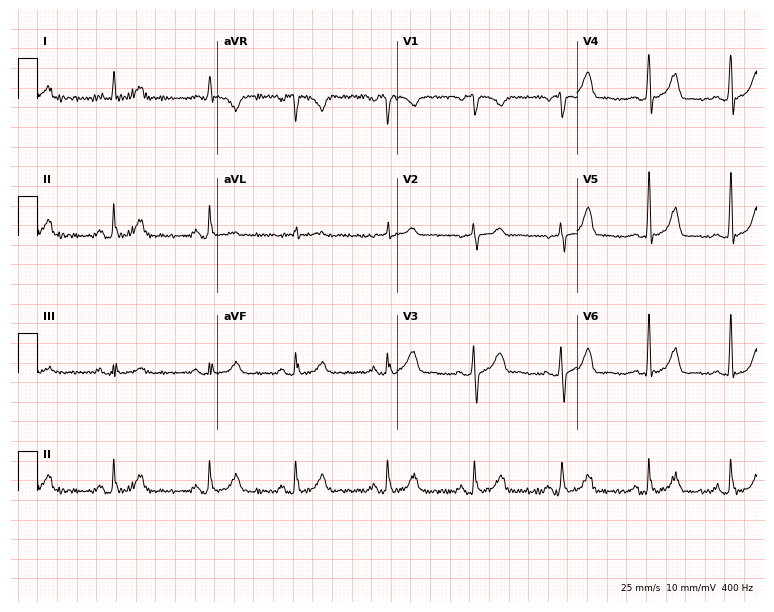
Resting 12-lead electrocardiogram (7.3-second recording at 400 Hz). Patient: a female, 47 years old. None of these six findings is recorded: first-degree AV block, right bundle branch block (RBBB), left bundle branch block (LBBB), sinus bradycardia, atrial fibrillation (AF), sinus tachycardia.